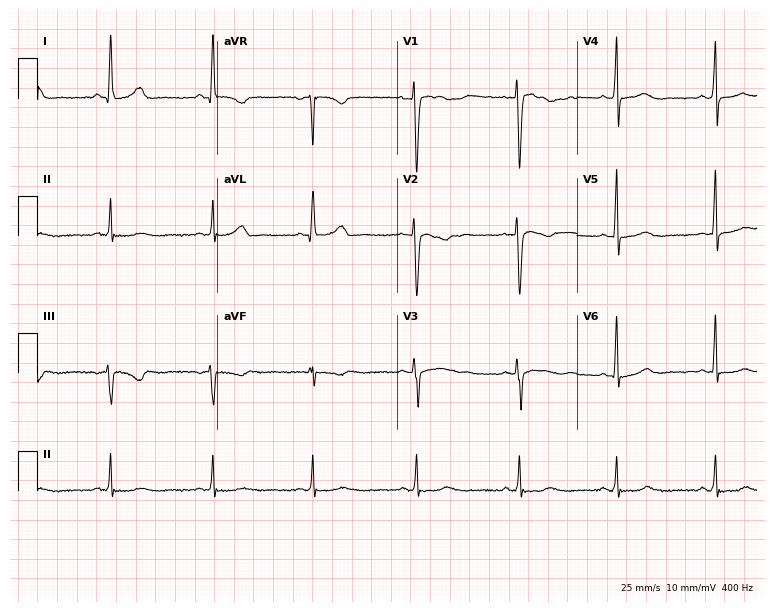
12-lead ECG (7.3-second recording at 400 Hz) from a woman, 42 years old. Screened for six findings — first-degree AV block, right bundle branch block, left bundle branch block, sinus bradycardia, atrial fibrillation, sinus tachycardia — none is recorded.